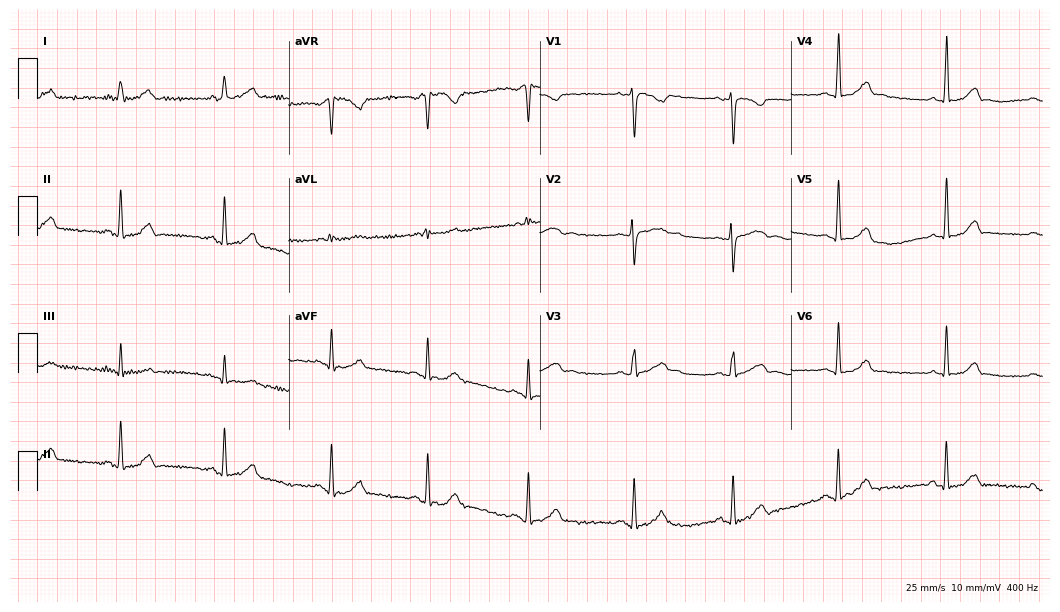
Standard 12-lead ECG recorded from a 23-year-old woman (10.2-second recording at 400 Hz). None of these six findings is recorded: first-degree AV block, right bundle branch block, left bundle branch block, sinus bradycardia, atrial fibrillation, sinus tachycardia. Findings outside these six are not listed.